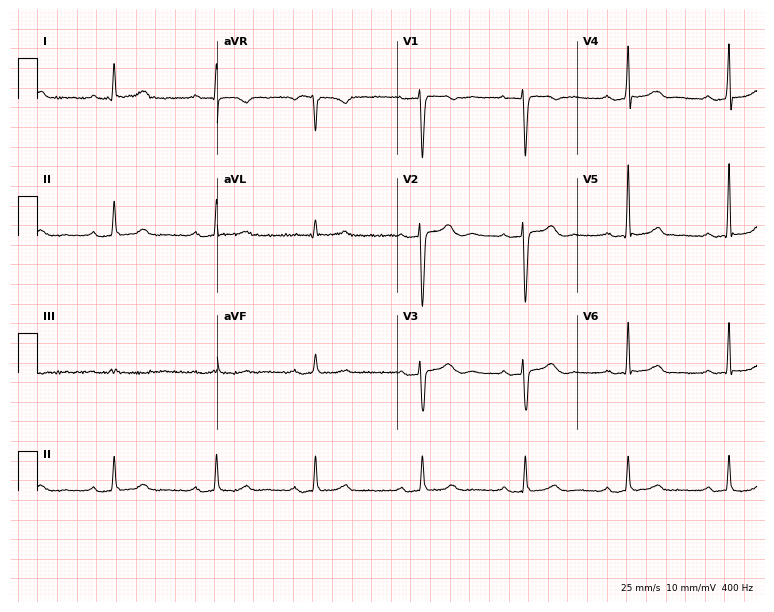
Resting 12-lead electrocardiogram (7.3-second recording at 400 Hz). Patient: a 38-year-old male. The tracing shows first-degree AV block.